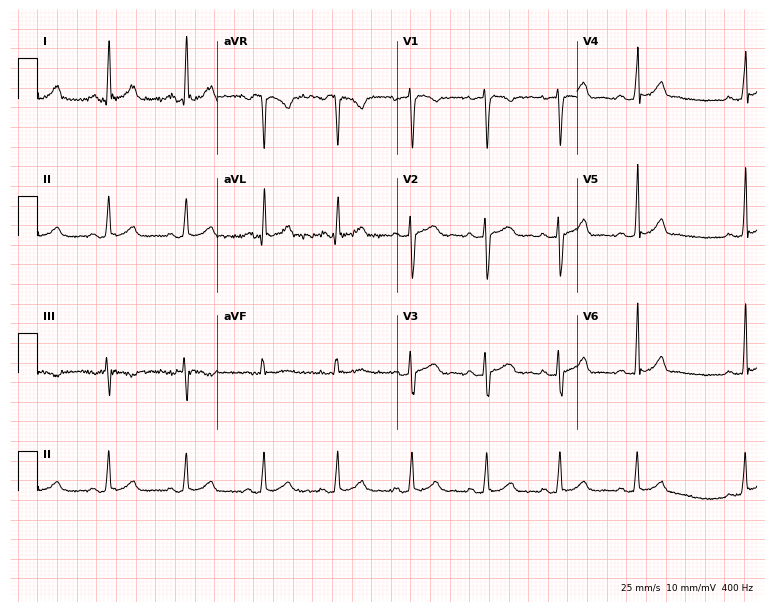
Standard 12-lead ECG recorded from a woman, 26 years old (7.3-second recording at 400 Hz). None of these six findings is recorded: first-degree AV block, right bundle branch block (RBBB), left bundle branch block (LBBB), sinus bradycardia, atrial fibrillation (AF), sinus tachycardia.